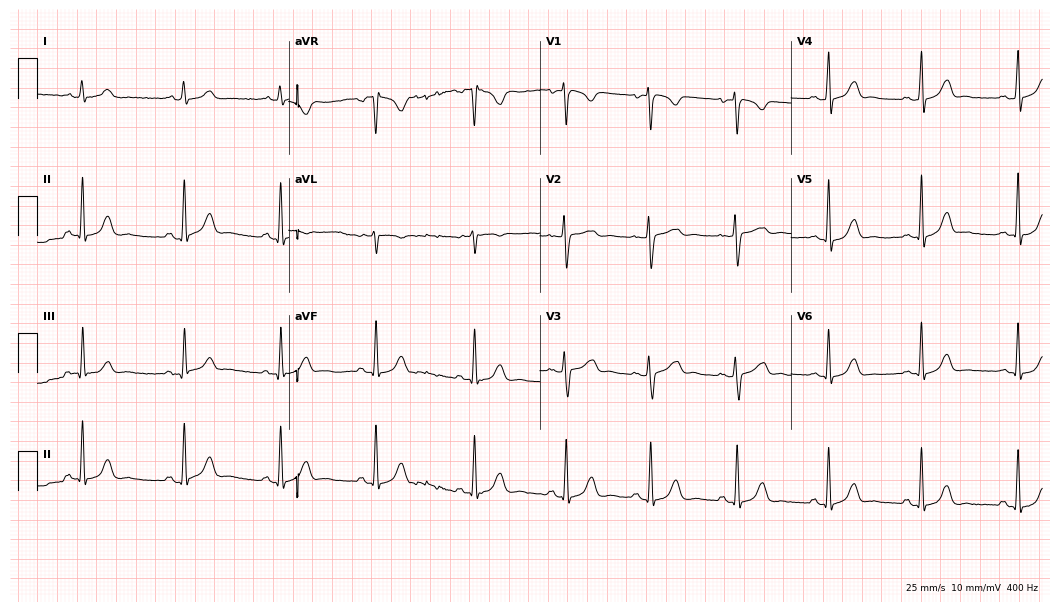
ECG (10.2-second recording at 400 Hz) — a 35-year-old female patient. Labelled as a normal ECG.